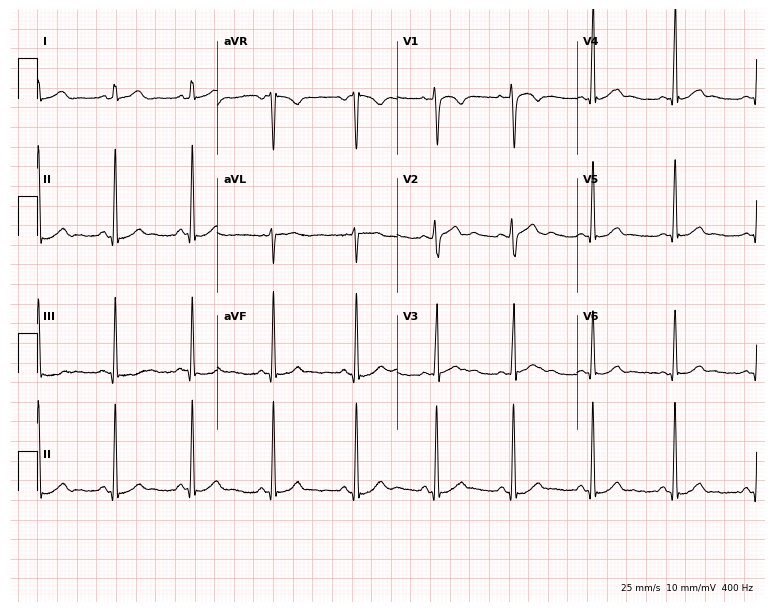
12-lead ECG (7.3-second recording at 400 Hz) from a 23-year-old female patient. Labelled as a normal ECG.